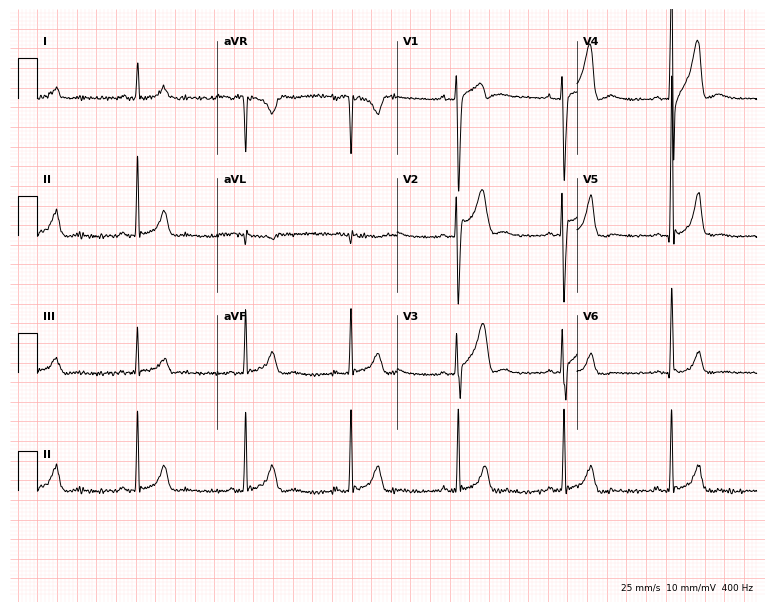
Electrocardiogram, a 31-year-old male patient. Of the six screened findings (first-degree AV block, right bundle branch block, left bundle branch block, sinus bradycardia, atrial fibrillation, sinus tachycardia), none is recorded. Other findings, if any, are not listed.